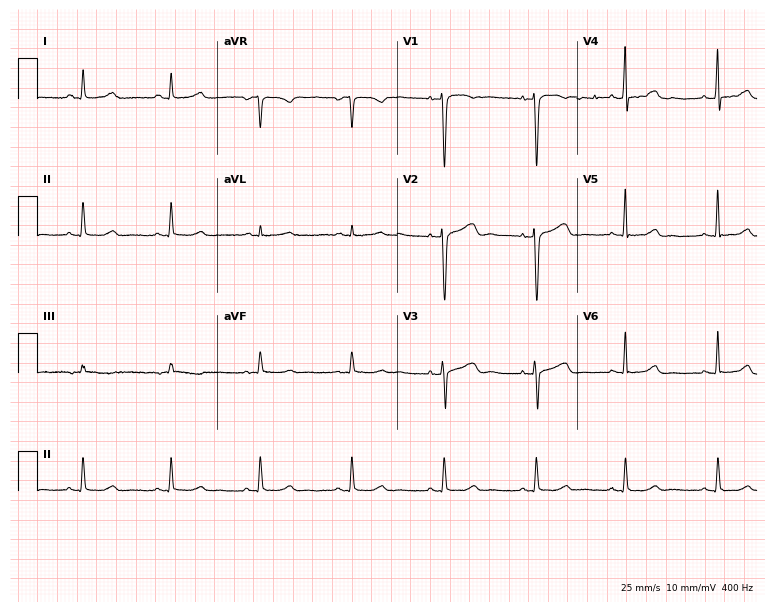
ECG (7.3-second recording at 400 Hz) — a female, 41 years old. Labelled as a normal ECG.